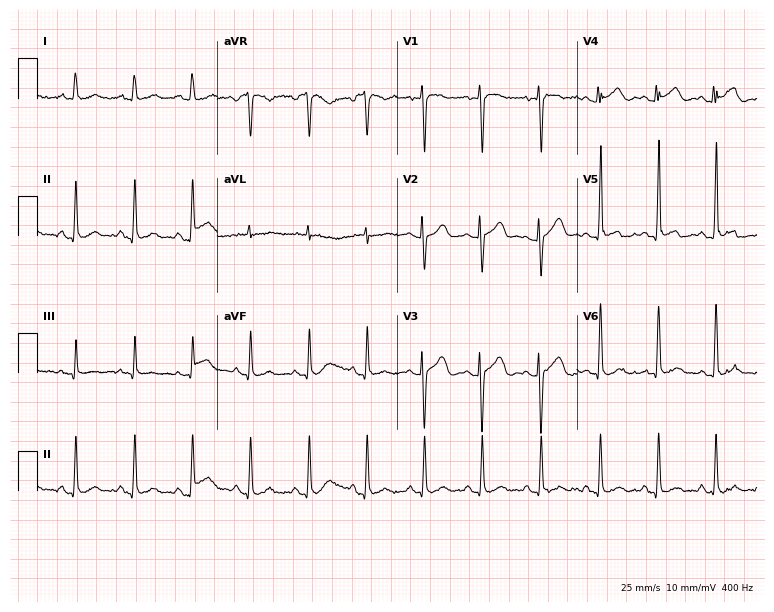
ECG (7.3-second recording at 400 Hz) — a female, 31 years old. Labelled as a normal ECG.